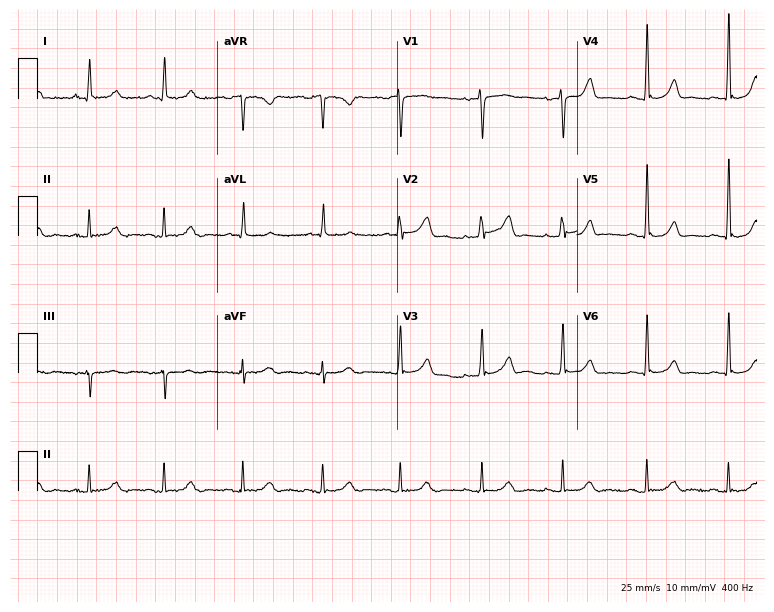
ECG — a 35-year-old female patient. Labelled as a normal ECG.